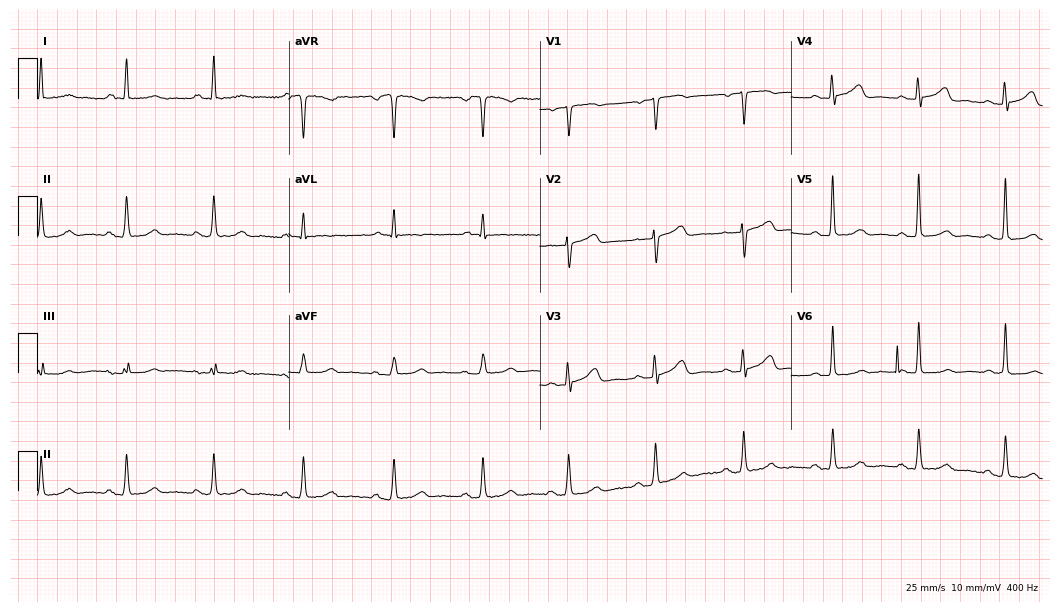
ECG — a female patient, 61 years old. Screened for six findings — first-degree AV block, right bundle branch block (RBBB), left bundle branch block (LBBB), sinus bradycardia, atrial fibrillation (AF), sinus tachycardia — none is recorded.